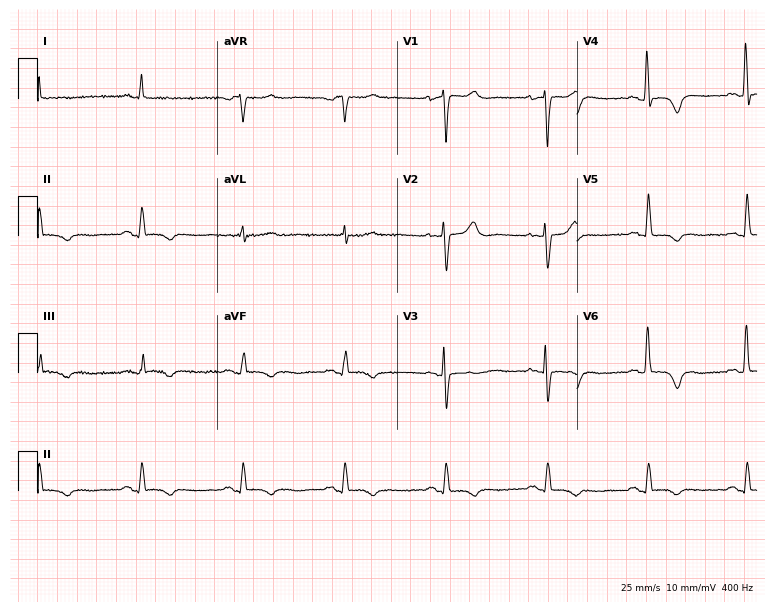
Standard 12-lead ECG recorded from a 79-year-old woman. None of these six findings is recorded: first-degree AV block, right bundle branch block, left bundle branch block, sinus bradycardia, atrial fibrillation, sinus tachycardia.